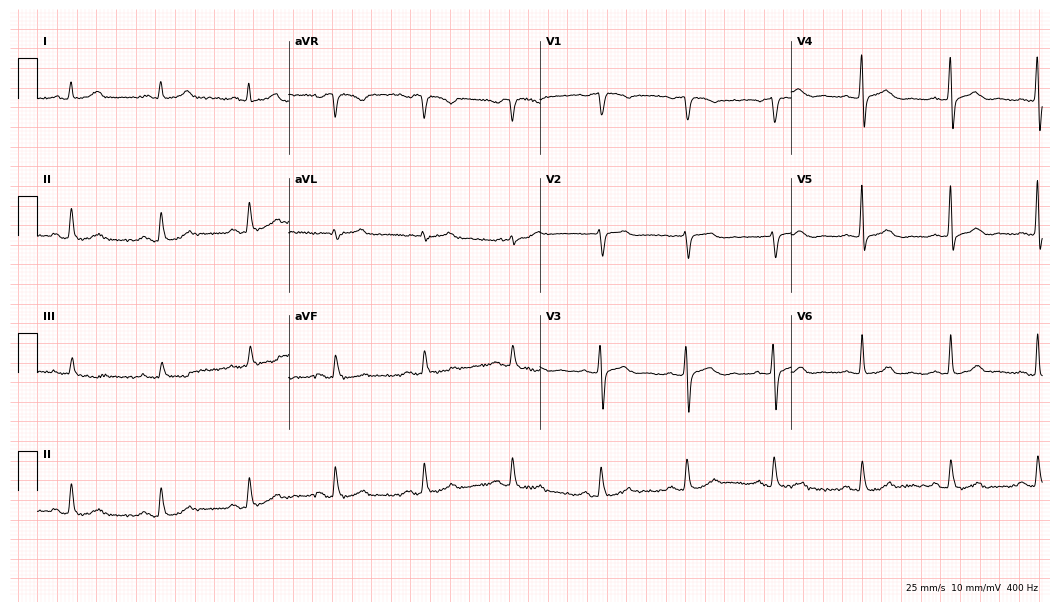
Standard 12-lead ECG recorded from a woman, 46 years old (10.2-second recording at 400 Hz). Read as a normal ECG.